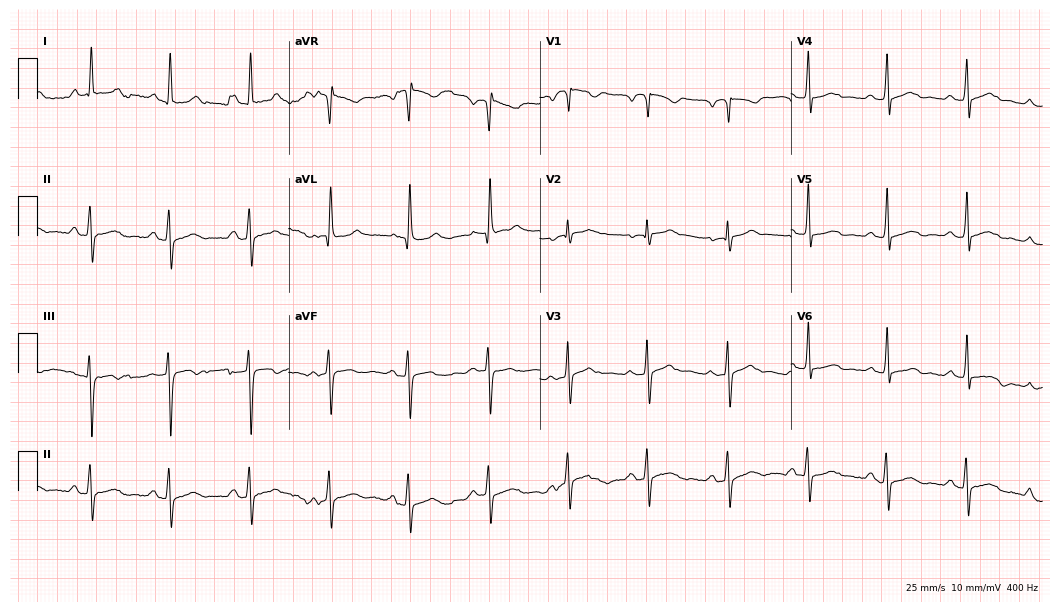
12-lead ECG from a male, 68 years old. Recorded interpretation: within normal limits.